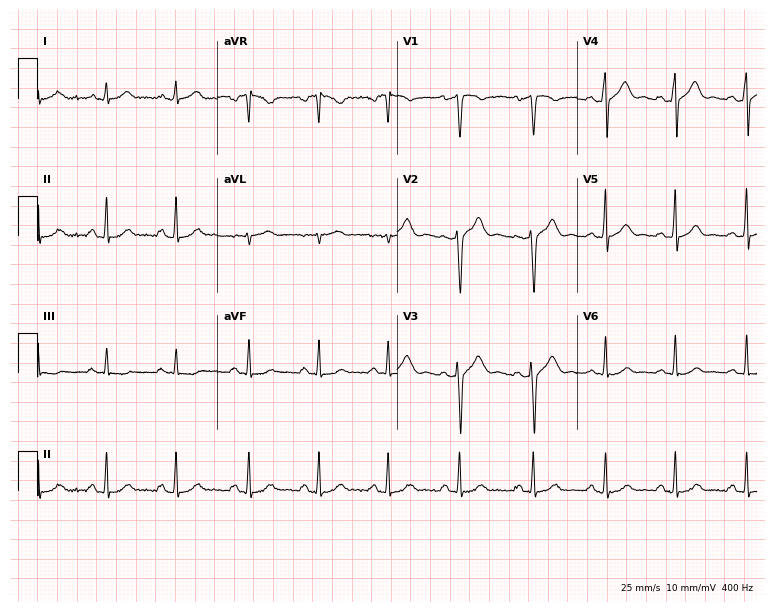
ECG (7.3-second recording at 400 Hz) — a male, 19 years old. Labelled as a normal ECG.